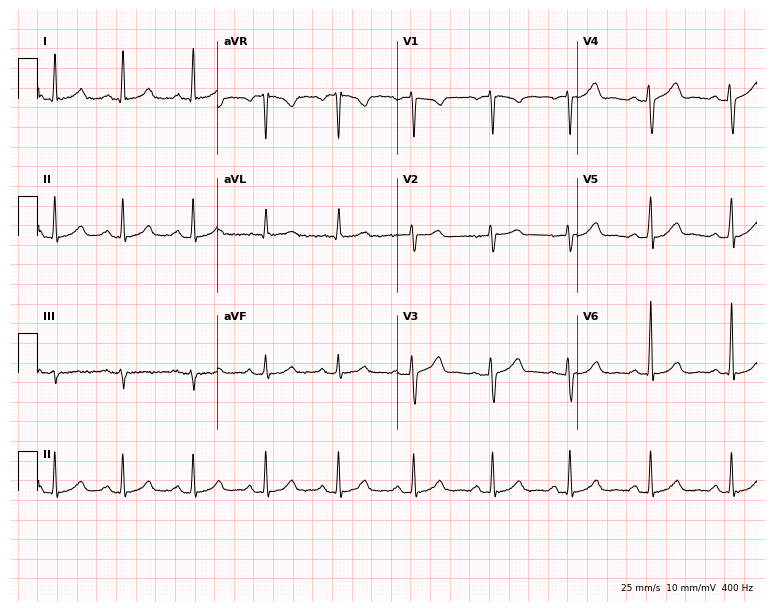
12-lead ECG from a woman, 46 years old. Screened for six findings — first-degree AV block, right bundle branch block, left bundle branch block, sinus bradycardia, atrial fibrillation, sinus tachycardia — none is recorded. Other findings, if any, are not listed.